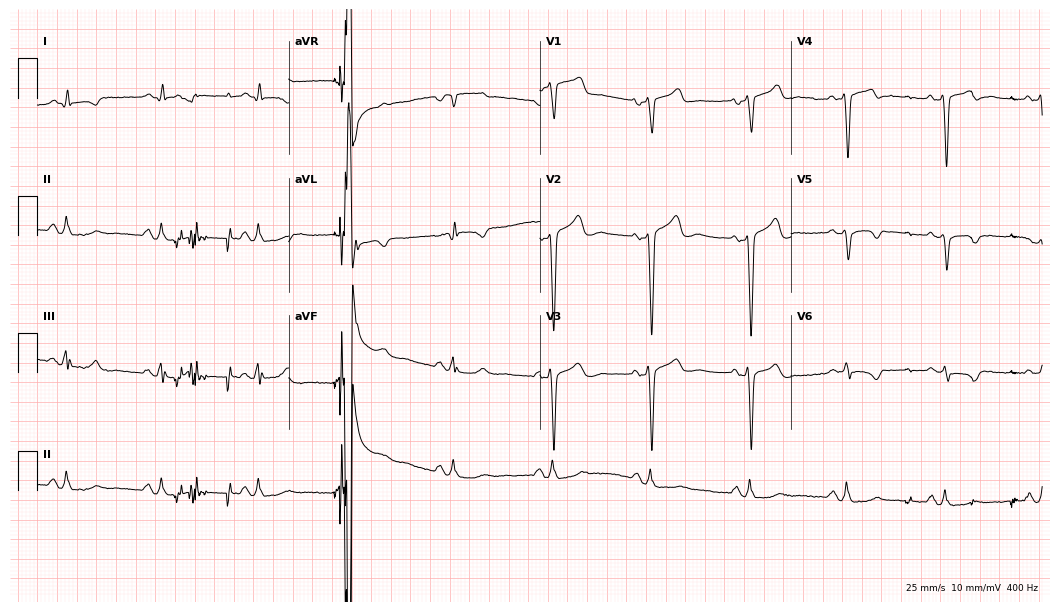
12-lead ECG (10.2-second recording at 400 Hz) from a 76-year-old man. Screened for six findings — first-degree AV block, right bundle branch block (RBBB), left bundle branch block (LBBB), sinus bradycardia, atrial fibrillation (AF), sinus tachycardia — none is recorded. Only these six findings were labelled.